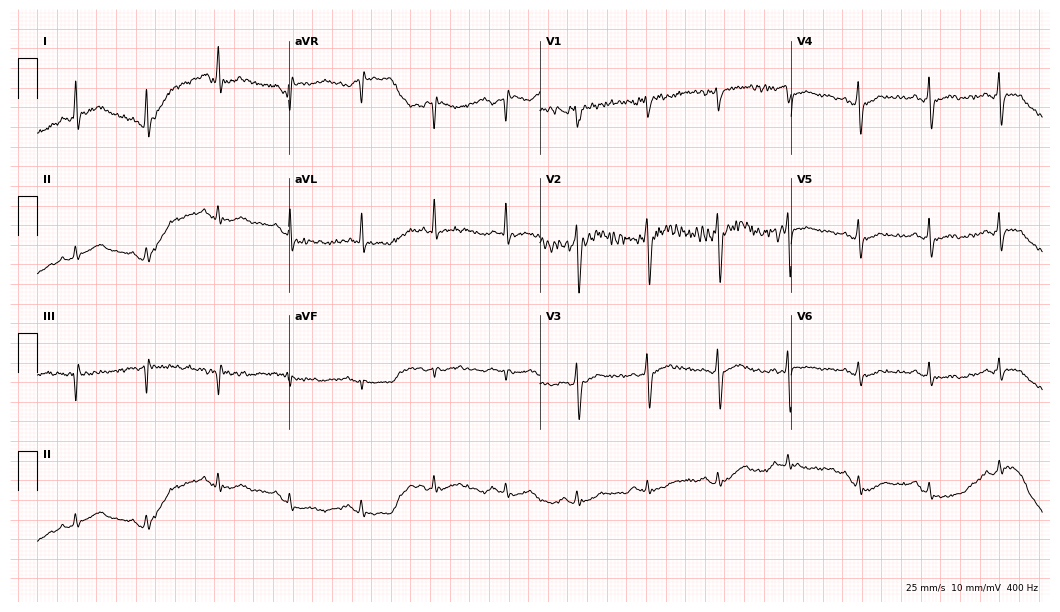
12-lead ECG (10.2-second recording at 400 Hz) from a male patient, 36 years old. Screened for six findings — first-degree AV block, right bundle branch block, left bundle branch block, sinus bradycardia, atrial fibrillation, sinus tachycardia — none is recorded. Only these six findings were labelled.